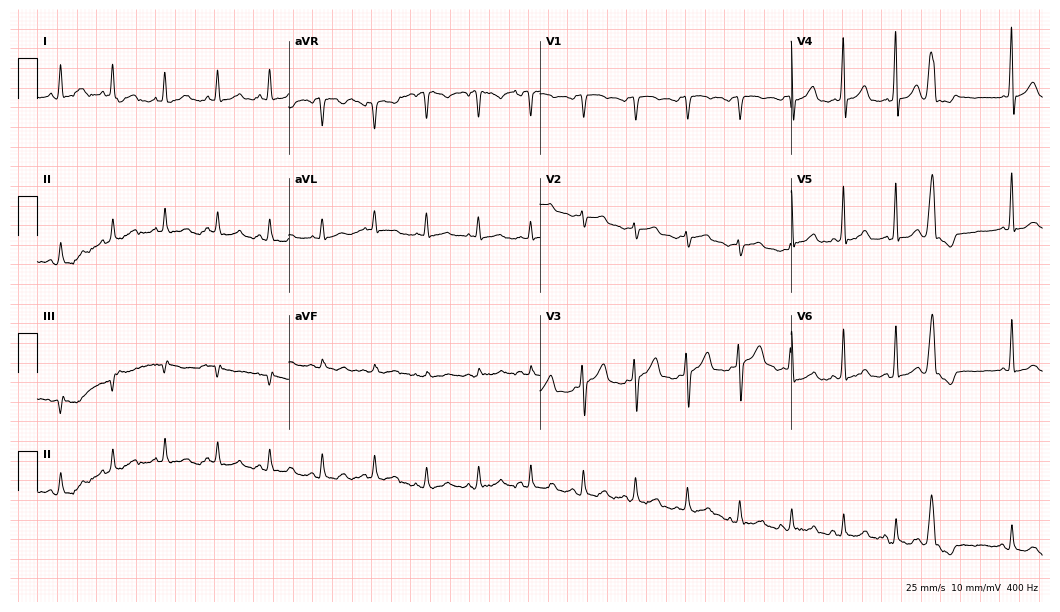
Standard 12-lead ECG recorded from a female patient, 79 years old. The tracing shows sinus tachycardia (a sinus rate of 100 beats per minute or more).